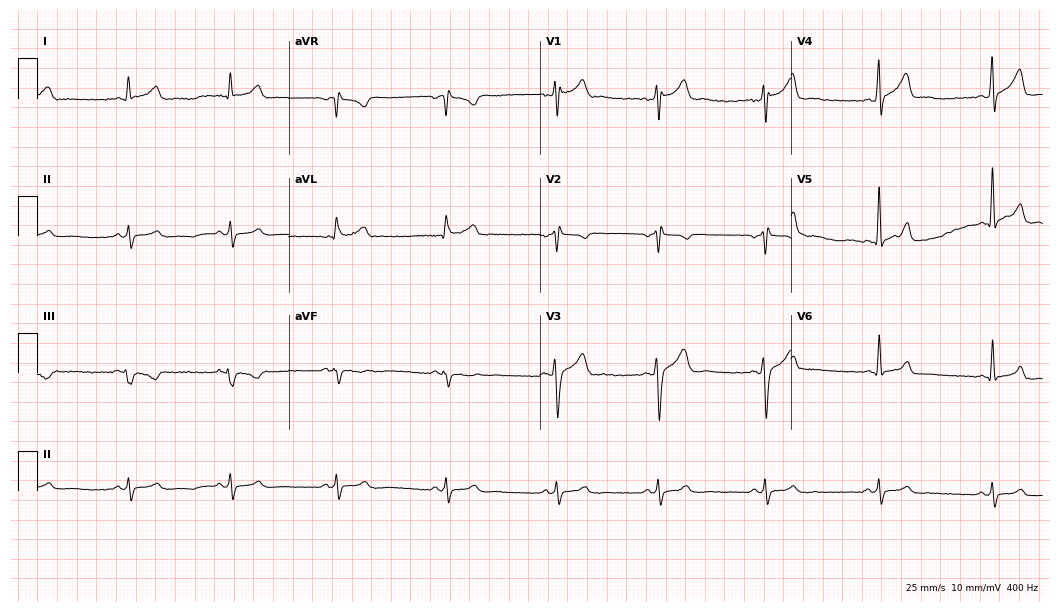
Electrocardiogram, a 34-year-old man. Of the six screened findings (first-degree AV block, right bundle branch block, left bundle branch block, sinus bradycardia, atrial fibrillation, sinus tachycardia), none is recorded. Other findings, if any, are not listed.